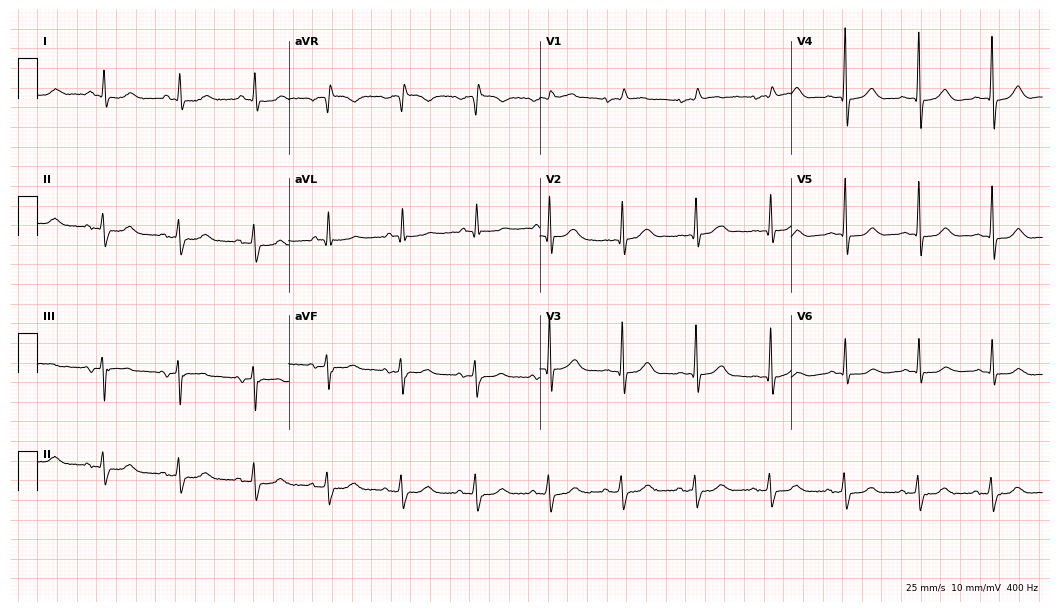
Resting 12-lead electrocardiogram. Patient: a male, 83 years old. Read as a normal ECG.